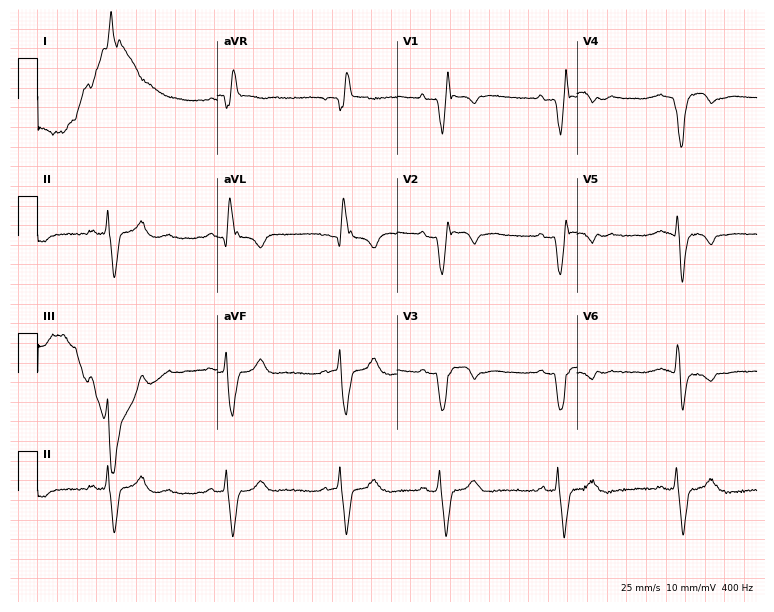
Standard 12-lead ECG recorded from a 73-year-old man. The tracing shows right bundle branch block (RBBB).